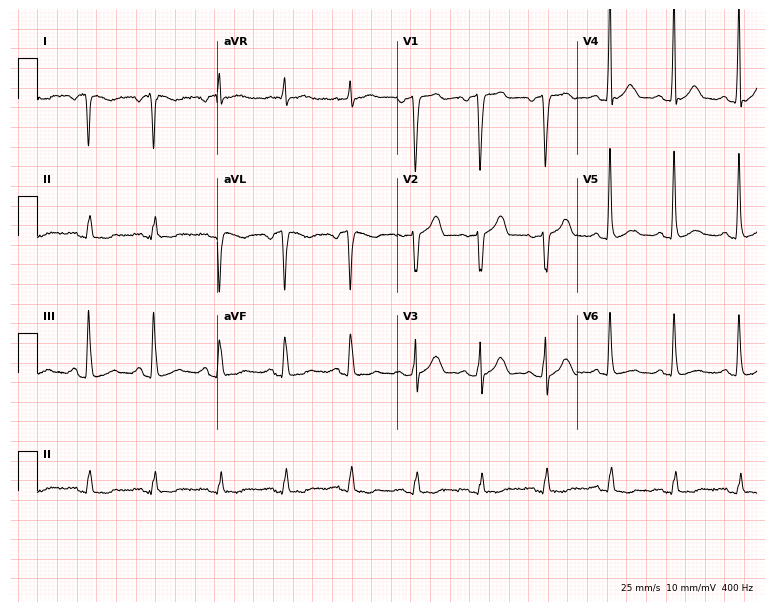
Electrocardiogram, a 77-year-old man. Of the six screened findings (first-degree AV block, right bundle branch block, left bundle branch block, sinus bradycardia, atrial fibrillation, sinus tachycardia), none is recorded.